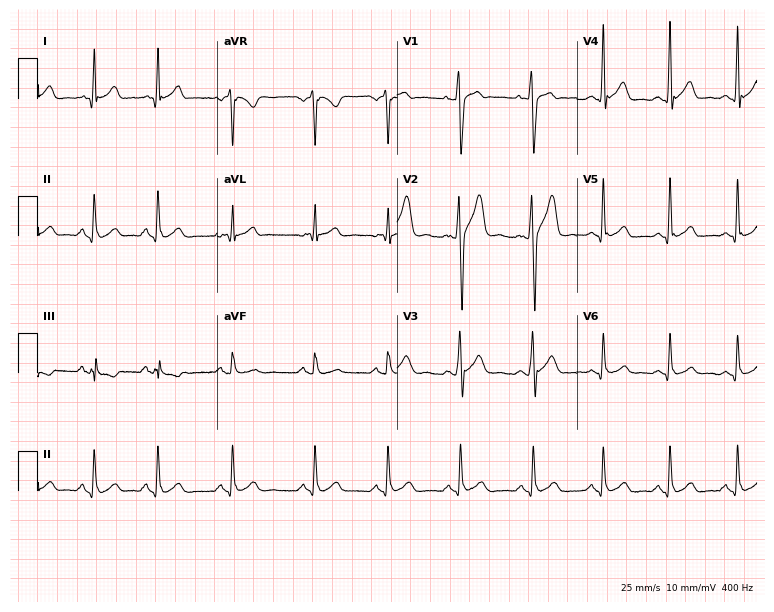
Electrocardiogram (7.3-second recording at 400 Hz), a man, 20 years old. Overall reading on record: normal ECG.